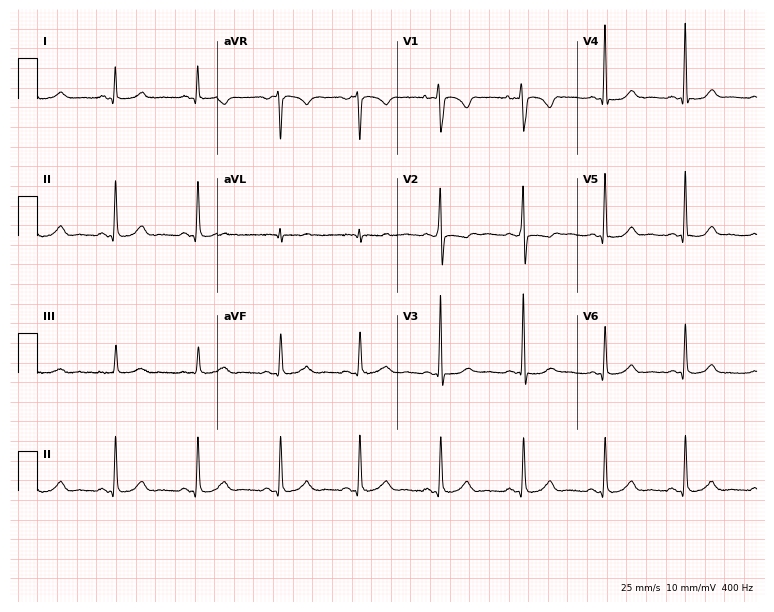
Resting 12-lead electrocardiogram (7.3-second recording at 400 Hz). Patient: a woman, 41 years old. None of these six findings is recorded: first-degree AV block, right bundle branch block (RBBB), left bundle branch block (LBBB), sinus bradycardia, atrial fibrillation (AF), sinus tachycardia. Only these six findings were labelled.